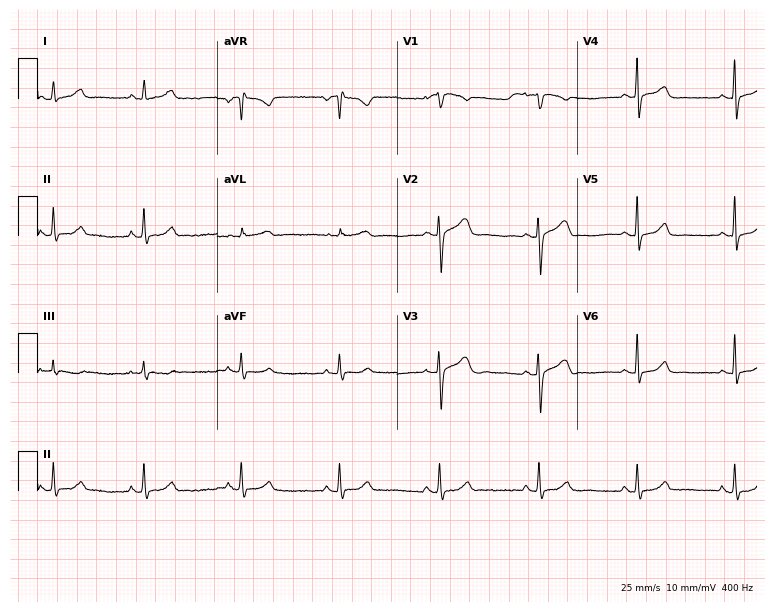
12-lead ECG (7.3-second recording at 400 Hz) from a woman, 19 years old. Screened for six findings — first-degree AV block, right bundle branch block, left bundle branch block, sinus bradycardia, atrial fibrillation, sinus tachycardia — none is recorded. Only these six findings were labelled.